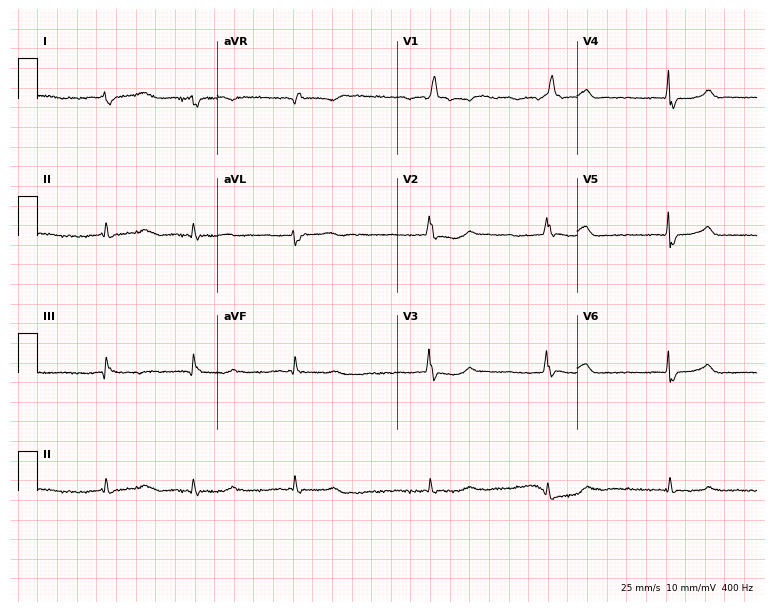
12-lead ECG from a female patient, 69 years old (7.3-second recording at 400 Hz). Shows atrial fibrillation (AF).